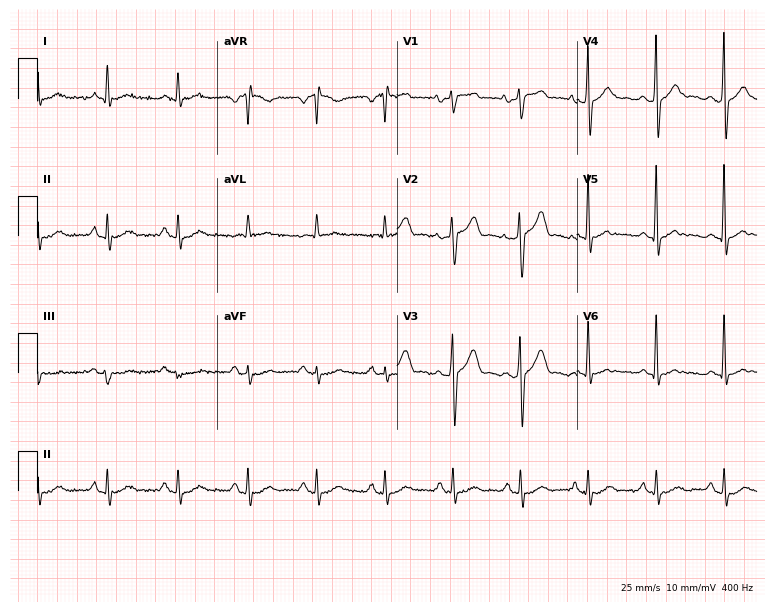
12-lead ECG (7.3-second recording at 400 Hz) from a 49-year-old man. Screened for six findings — first-degree AV block, right bundle branch block (RBBB), left bundle branch block (LBBB), sinus bradycardia, atrial fibrillation (AF), sinus tachycardia — none is recorded. Other findings, if any, are not listed.